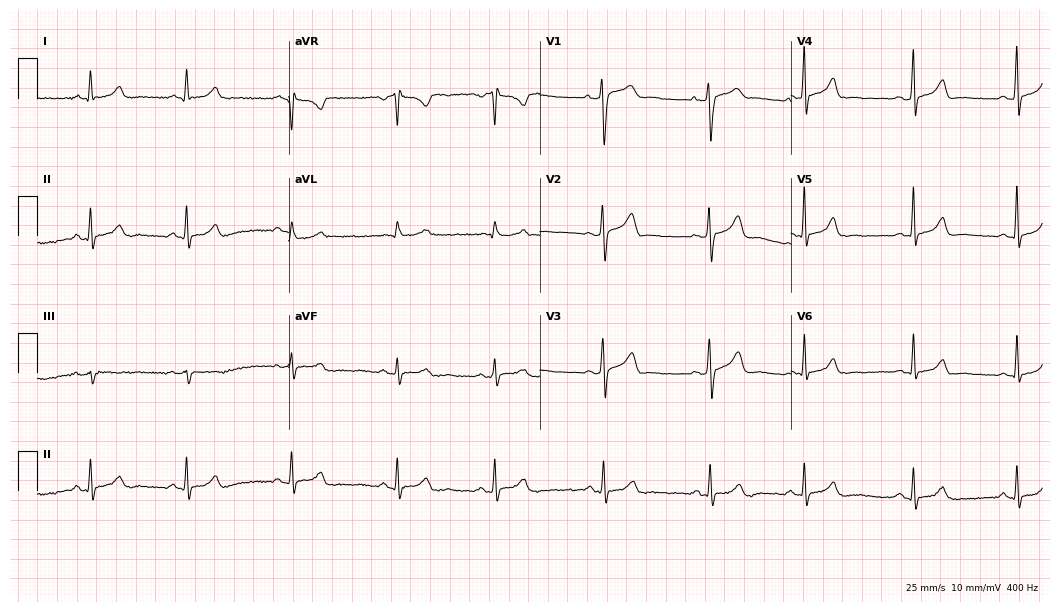
12-lead ECG from a 39-year-old woman. No first-degree AV block, right bundle branch block, left bundle branch block, sinus bradycardia, atrial fibrillation or sinus tachycardia recorded for this tracing. Only these six findings were labelled.